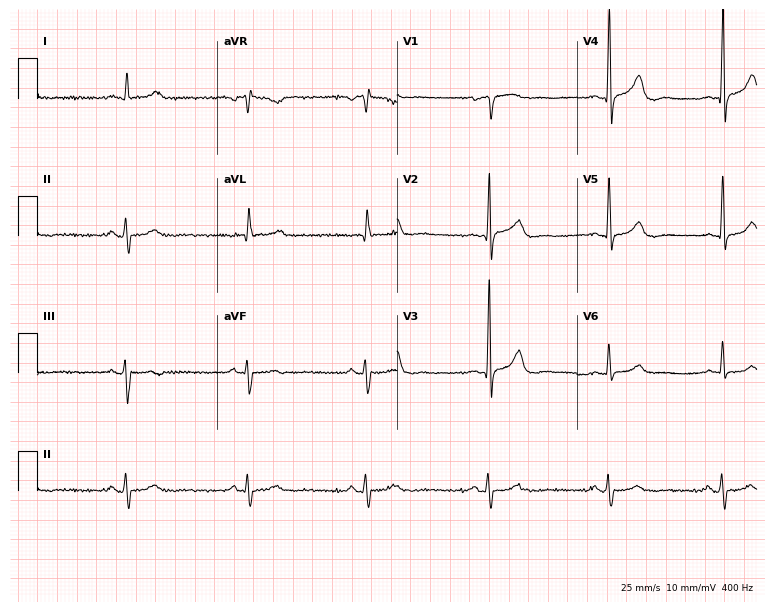
Standard 12-lead ECG recorded from a male, 79 years old. The tracing shows sinus bradycardia (a sinus rate of 50 beats per minute or less).